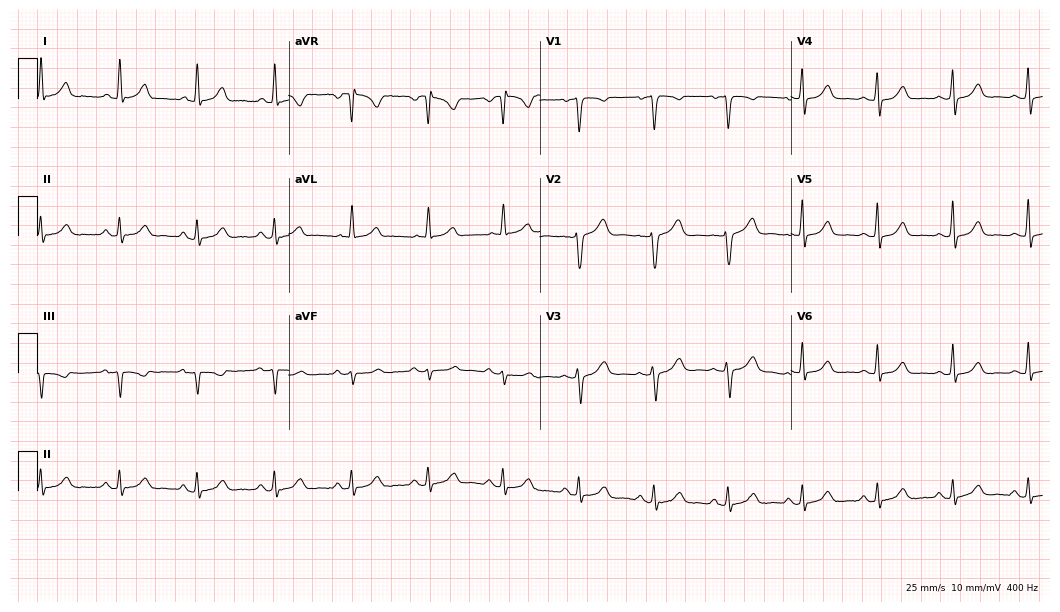
Electrocardiogram (10.2-second recording at 400 Hz), a 50-year-old female. Overall reading on record: normal ECG.